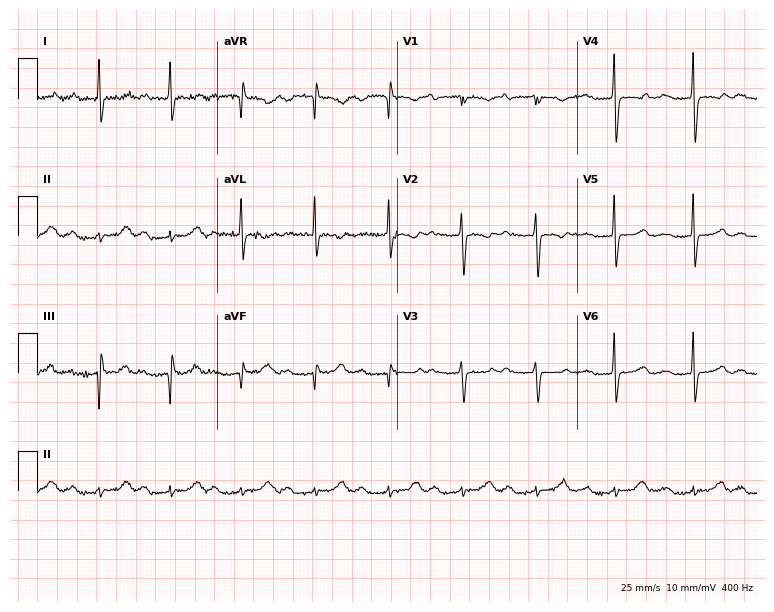
Resting 12-lead electrocardiogram (7.3-second recording at 400 Hz). Patient: a 77-year-old female. None of these six findings is recorded: first-degree AV block, right bundle branch block, left bundle branch block, sinus bradycardia, atrial fibrillation, sinus tachycardia.